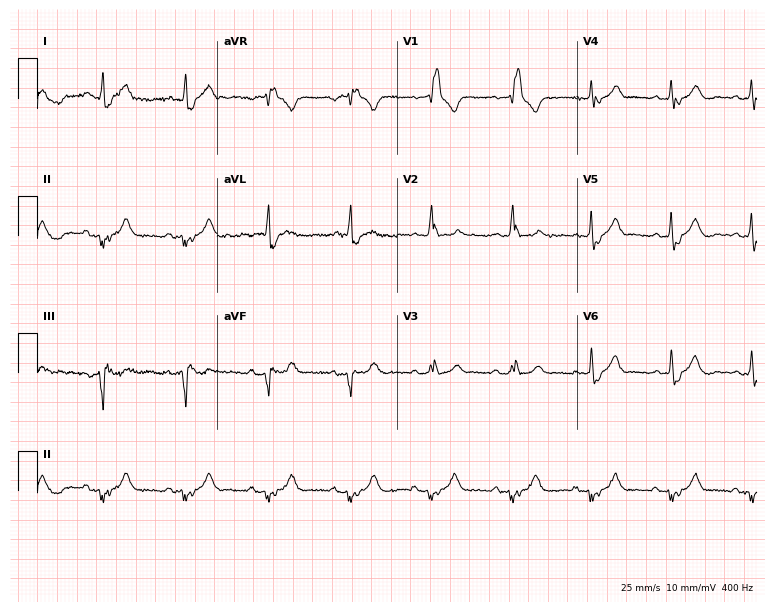
12-lead ECG from a 73-year-old male patient (7.3-second recording at 400 Hz). Shows right bundle branch block.